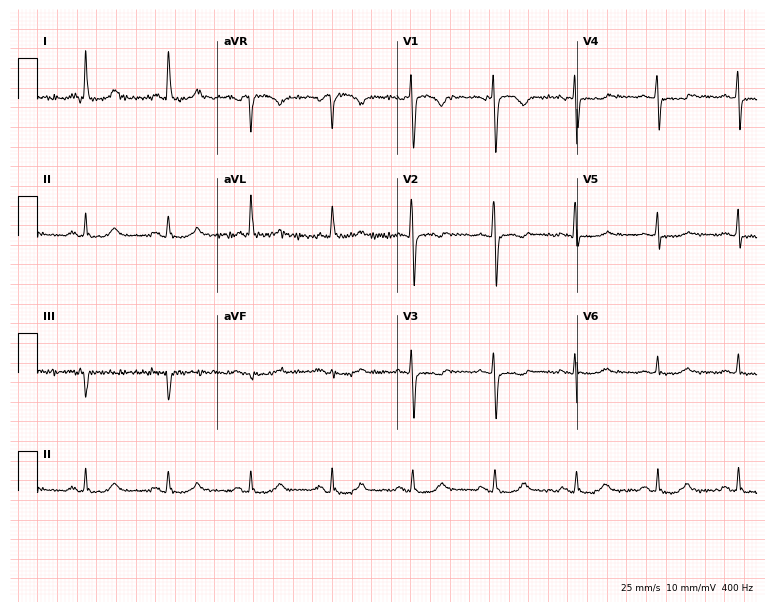
Standard 12-lead ECG recorded from a 62-year-old female. None of these six findings is recorded: first-degree AV block, right bundle branch block (RBBB), left bundle branch block (LBBB), sinus bradycardia, atrial fibrillation (AF), sinus tachycardia. Findings outside these six are not listed.